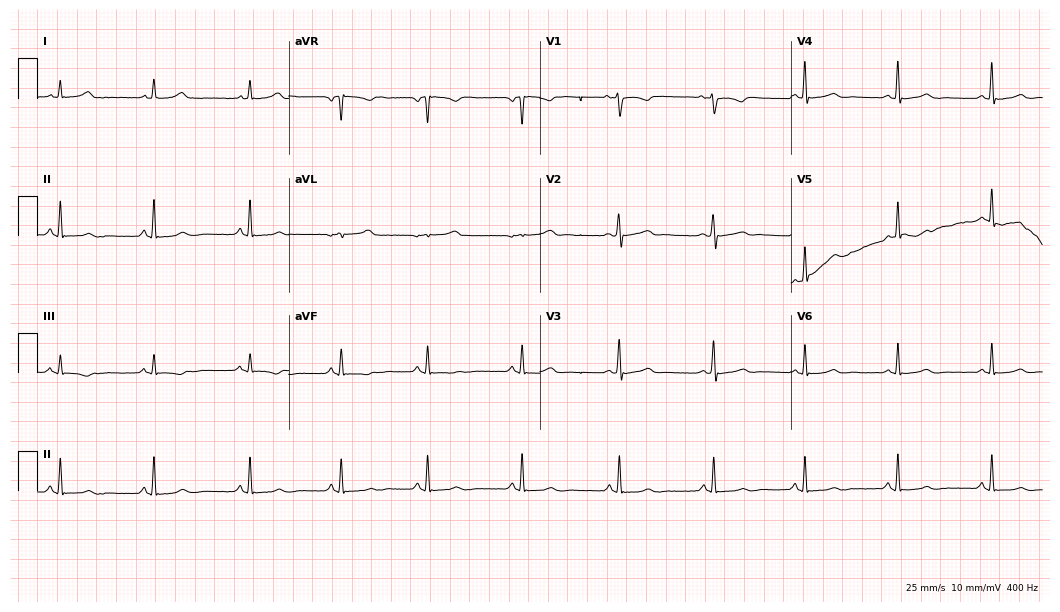
Resting 12-lead electrocardiogram. Patient: a 29-year-old female. None of these six findings is recorded: first-degree AV block, right bundle branch block (RBBB), left bundle branch block (LBBB), sinus bradycardia, atrial fibrillation (AF), sinus tachycardia.